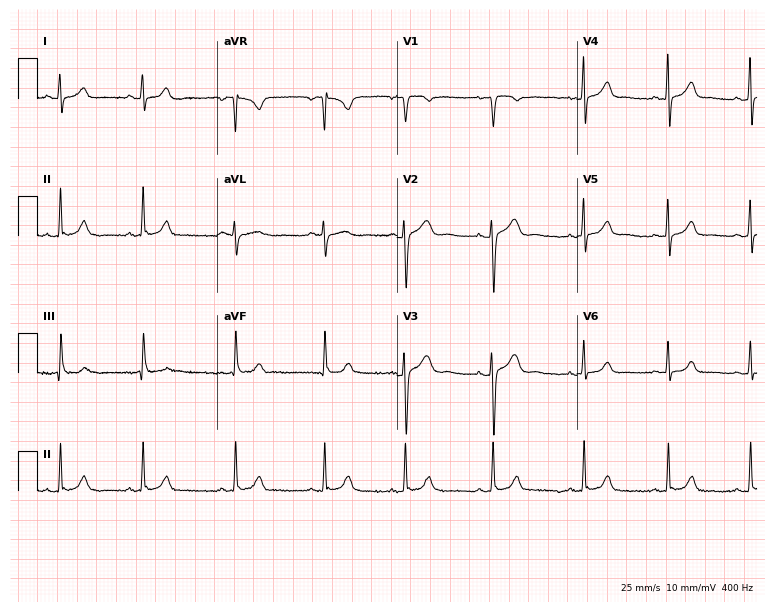
Standard 12-lead ECG recorded from a female patient, 18 years old (7.3-second recording at 400 Hz). Read as a normal ECG.